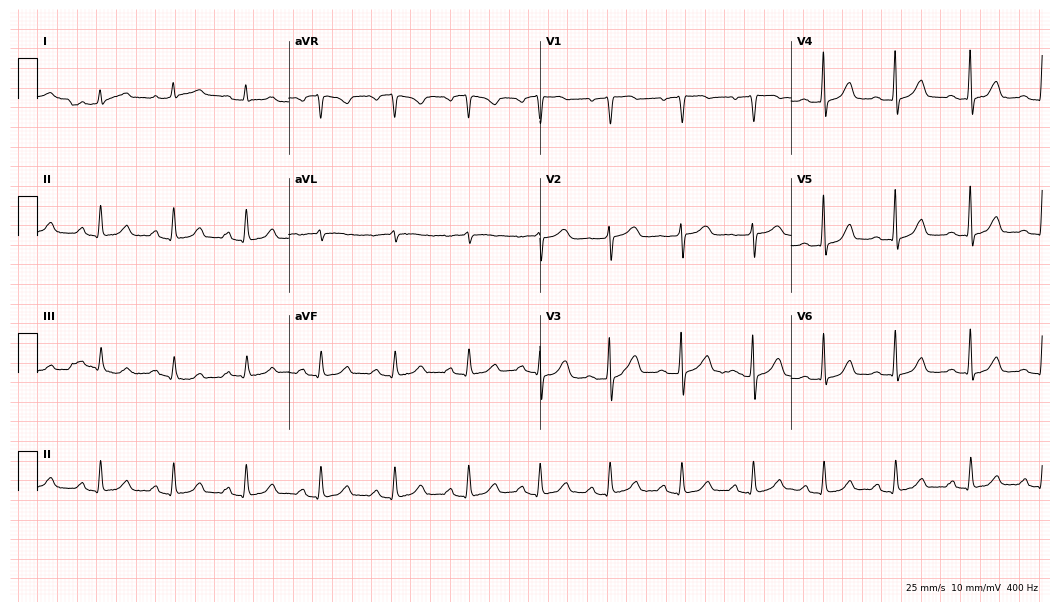
Resting 12-lead electrocardiogram. Patient: a 66-year-old woman. Read as a normal ECG.